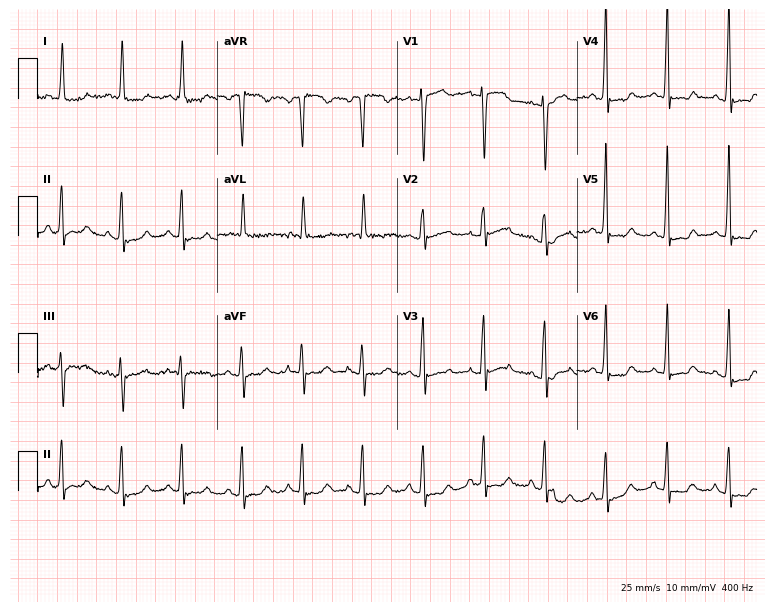
12-lead ECG from a 66-year-old female. No first-degree AV block, right bundle branch block, left bundle branch block, sinus bradycardia, atrial fibrillation or sinus tachycardia recorded for this tracing.